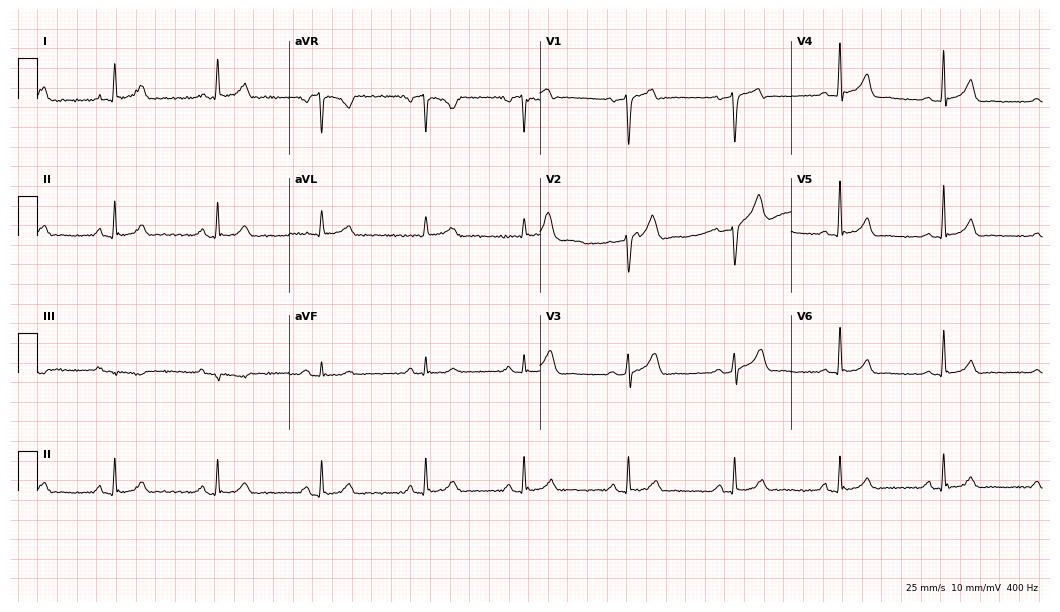
12-lead ECG from a 58-year-old female patient (10.2-second recording at 400 Hz). Recorded interpretation: within normal limits.